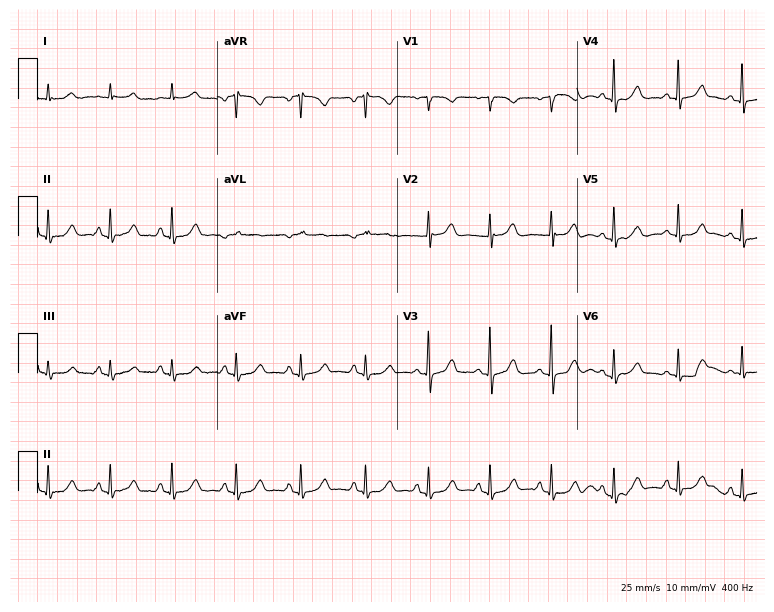
Resting 12-lead electrocardiogram (7.3-second recording at 400 Hz). Patient: a 71-year-old woman. Read as a normal ECG.